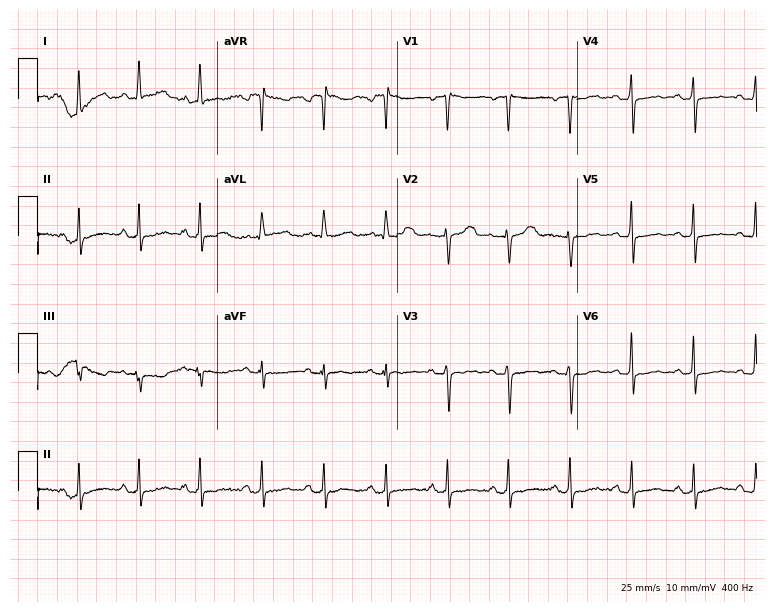
Electrocardiogram, a female patient, 49 years old. Overall reading on record: normal ECG.